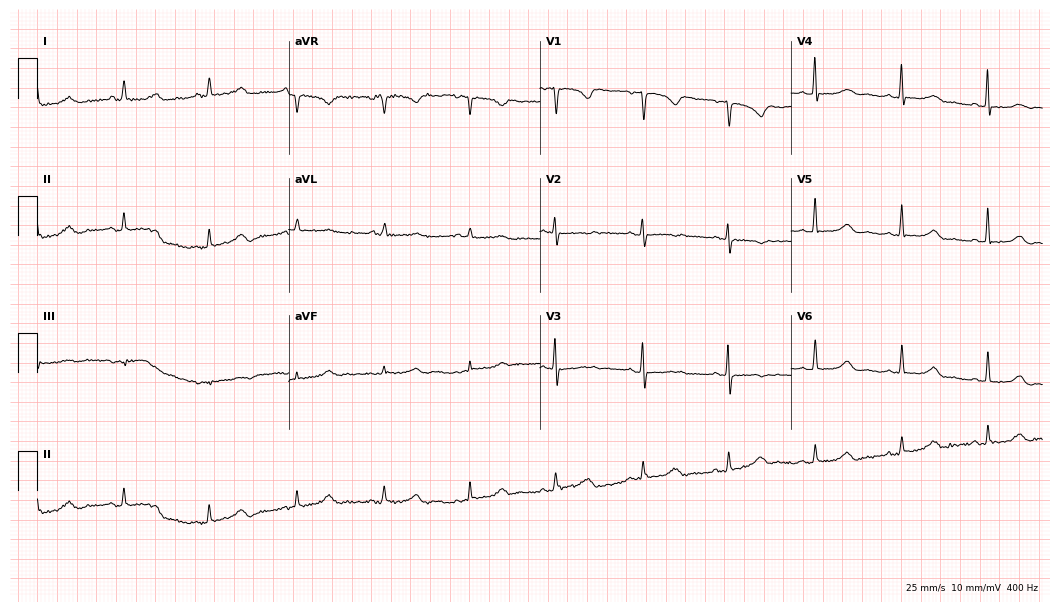
12-lead ECG from a 59-year-old female patient (10.2-second recording at 400 Hz). Recorded interpretation: within normal limits.